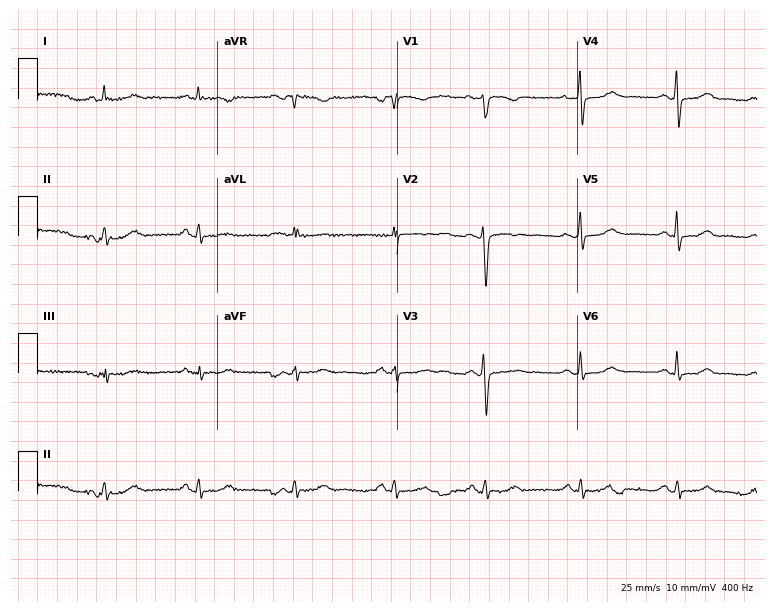
ECG — a 51-year-old woman. Screened for six findings — first-degree AV block, right bundle branch block, left bundle branch block, sinus bradycardia, atrial fibrillation, sinus tachycardia — none is recorded. Only these six findings were labelled.